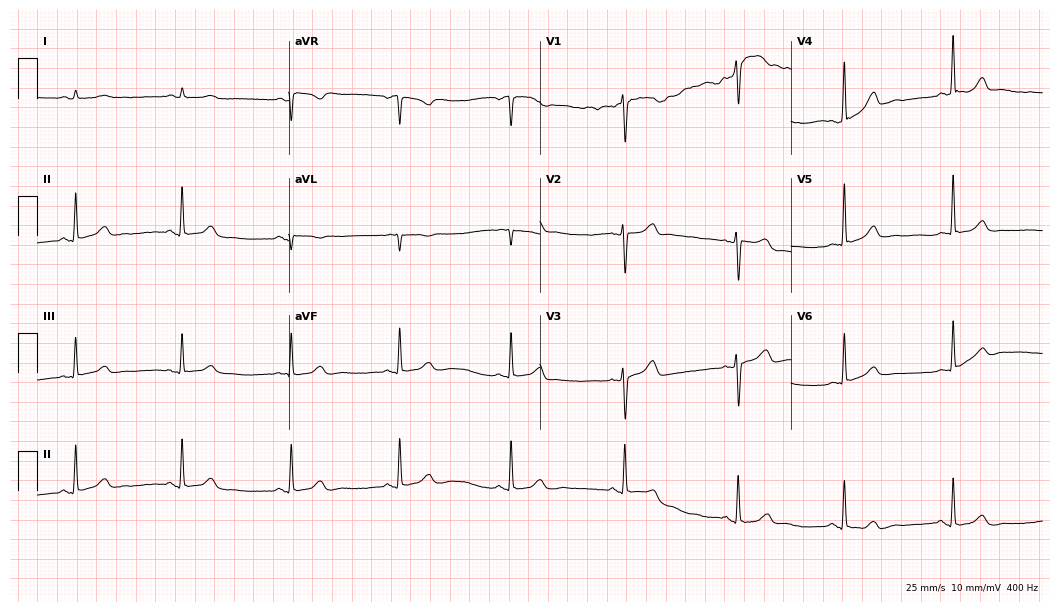
12-lead ECG from a woman, 59 years old. Recorded interpretation: within normal limits.